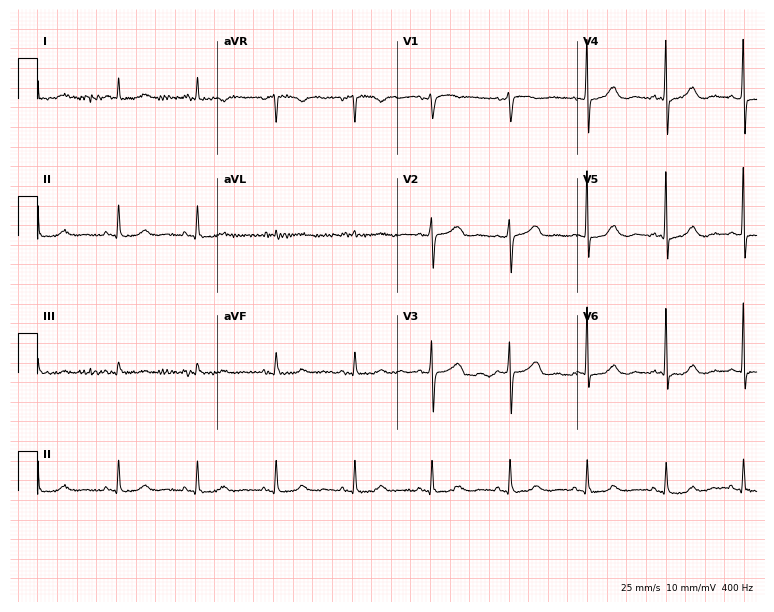
12-lead ECG (7.3-second recording at 400 Hz) from a female patient, 85 years old. Screened for six findings — first-degree AV block, right bundle branch block, left bundle branch block, sinus bradycardia, atrial fibrillation, sinus tachycardia — none is recorded.